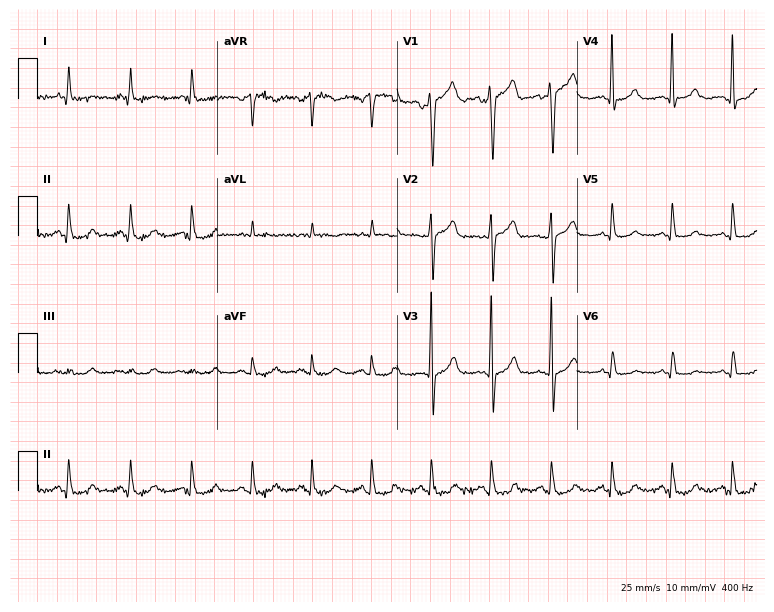
Electrocardiogram (7.3-second recording at 400 Hz), a 57-year-old male. Of the six screened findings (first-degree AV block, right bundle branch block, left bundle branch block, sinus bradycardia, atrial fibrillation, sinus tachycardia), none is recorded.